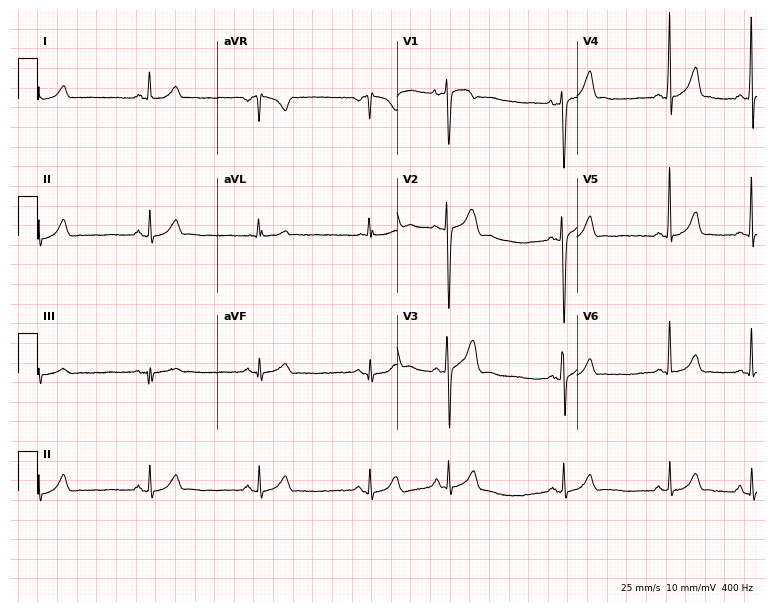
ECG (7.3-second recording at 400 Hz) — a male patient, 18 years old. Labelled as a normal ECG.